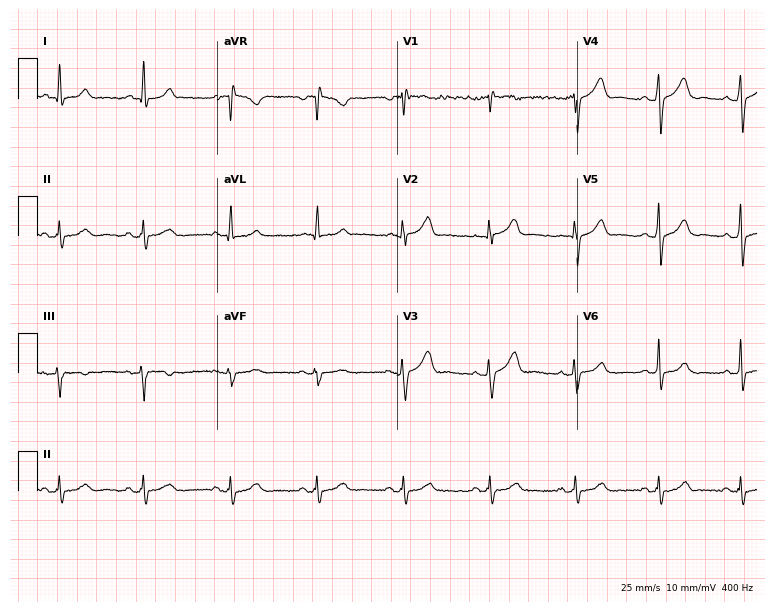
ECG (7.3-second recording at 400 Hz) — a 60-year-old man. Labelled as a normal ECG.